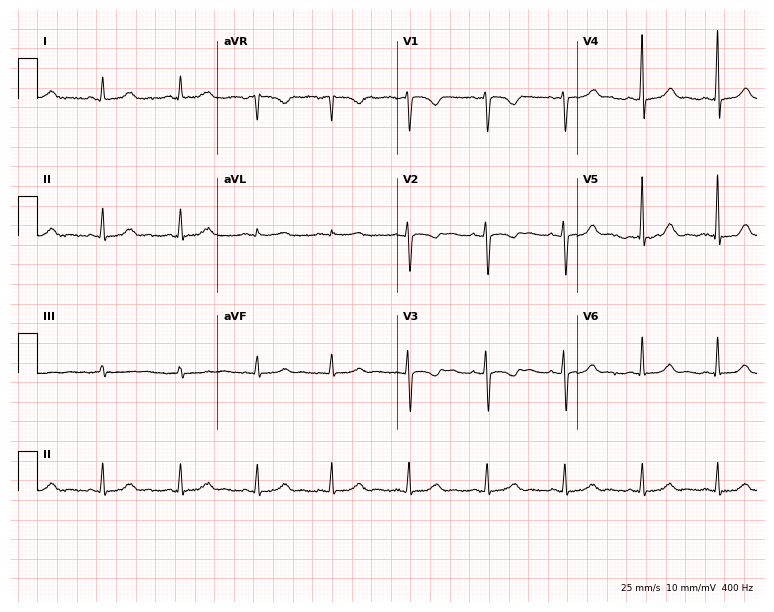
Resting 12-lead electrocardiogram. Patient: a 43-year-old female. Read as a normal ECG.